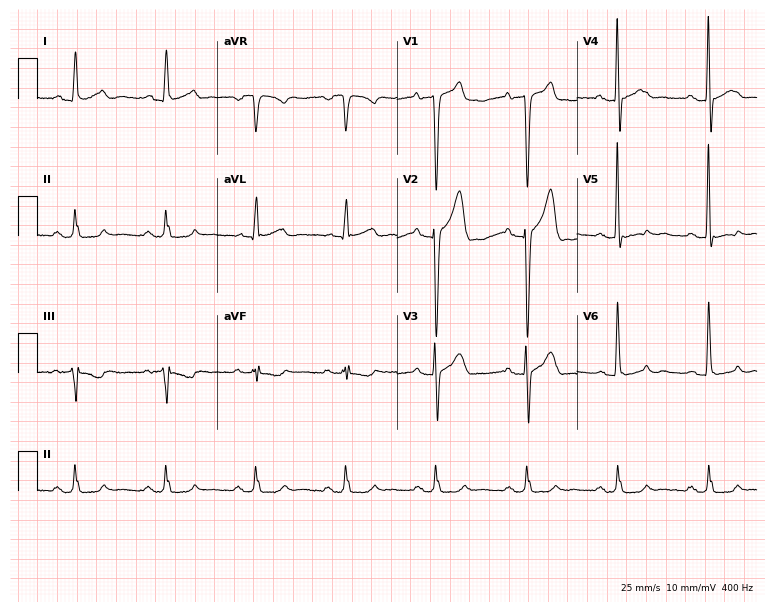
Electrocardiogram, a 45-year-old male. Of the six screened findings (first-degree AV block, right bundle branch block, left bundle branch block, sinus bradycardia, atrial fibrillation, sinus tachycardia), none is recorded.